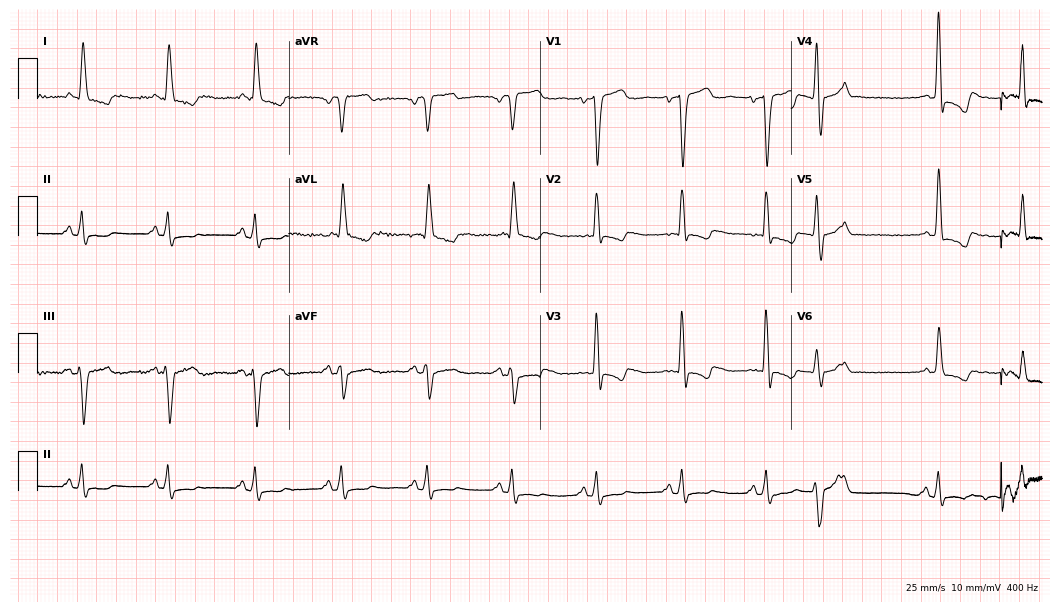
12-lead ECG from a 66-year-old male. Screened for six findings — first-degree AV block, right bundle branch block, left bundle branch block, sinus bradycardia, atrial fibrillation, sinus tachycardia — none is recorded. Findings outside these six are not listed.